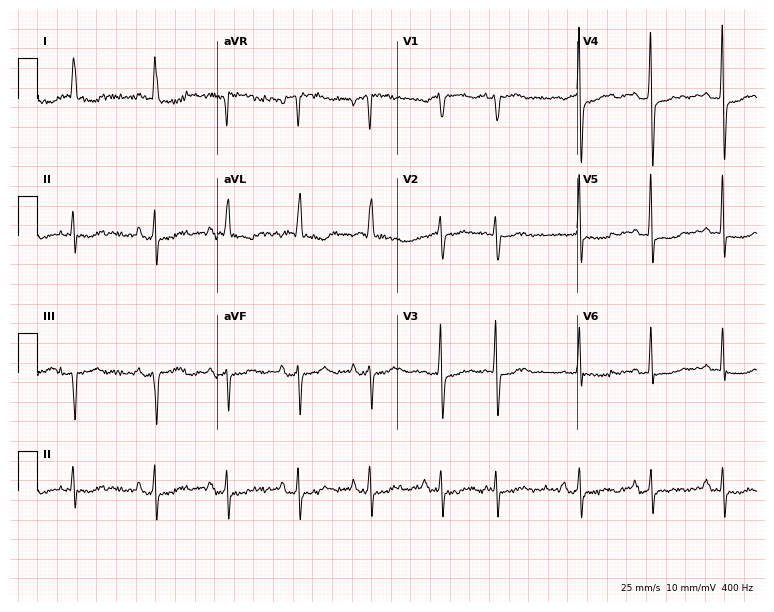
12-lead ECG (7.3-second recording at 400 Hz) from a woman, 75 years old. Screened for six findings — first-degree AV block, right bundle branch block, left bundle branch block, sinus bradycardia, atrial fibrillation, sinus tachycardia — none is recorded. Findings outside these six are not listed.